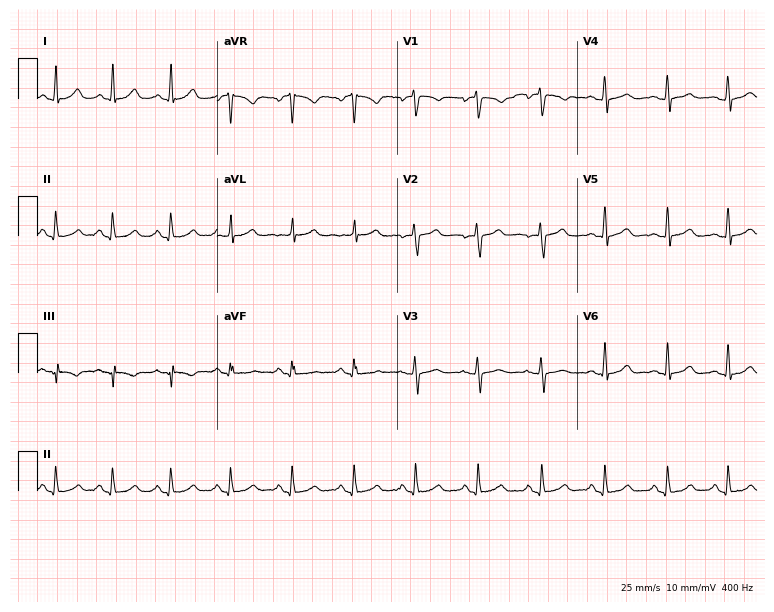
Electrocardiogram (7.3-second recording at 400 Hz), a female, 33 years old. Overall reading on record: normal ECG.